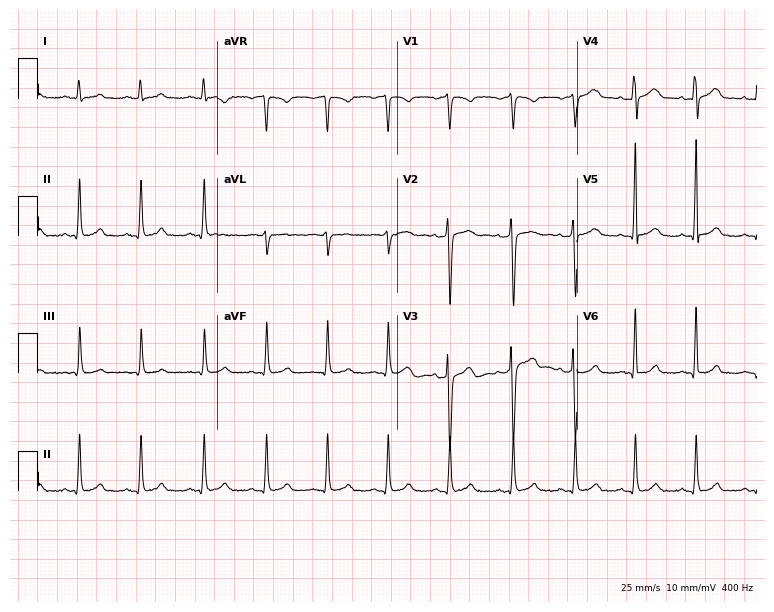
Electrocardiogram, a man, 36 years old. Overall reading on record: normal ECG.